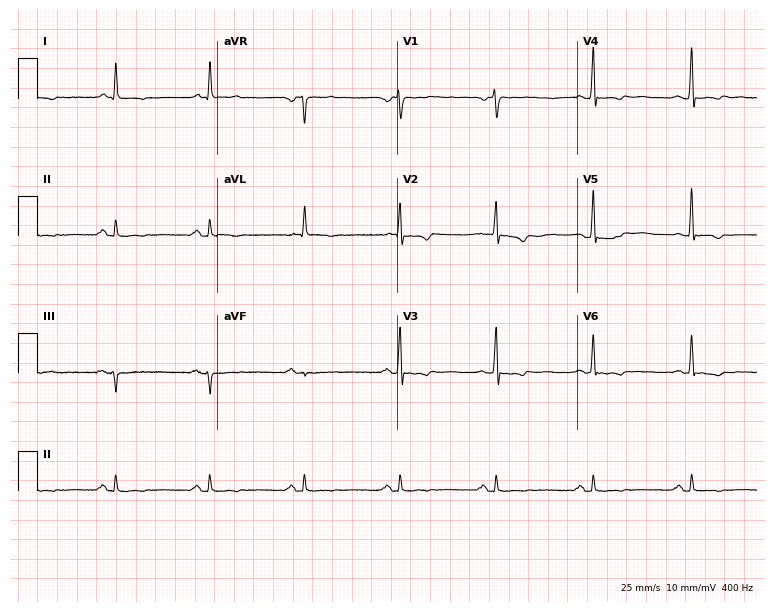
Standard 12-lead ECG recorded from a male, 56 years old. None of these six findings is recorded: first-degree AV block, right bundle branch block, left bundle branch block, sinus bradycardia, atrial fibrillation, sinus tachycardia. Other findings, if any, are not listed.